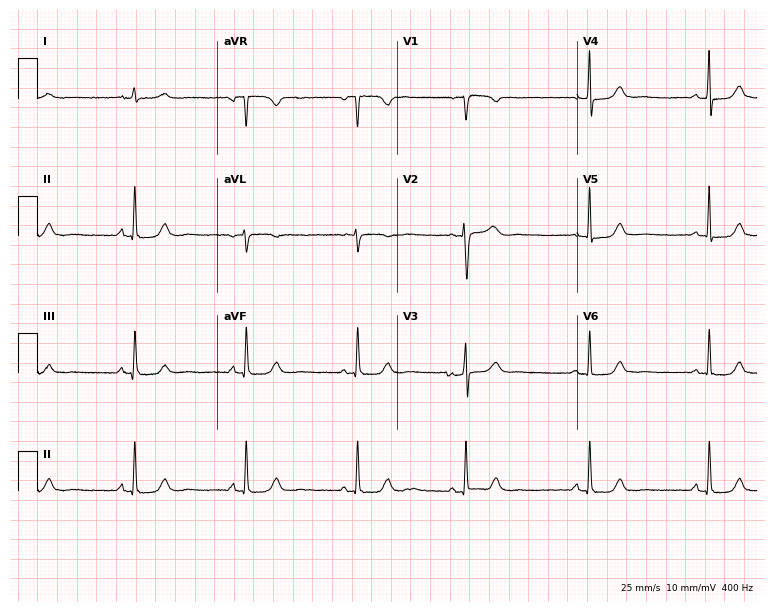
12-lead ECG from a female, 45 years old. Recorded interpretation: within normal limits.